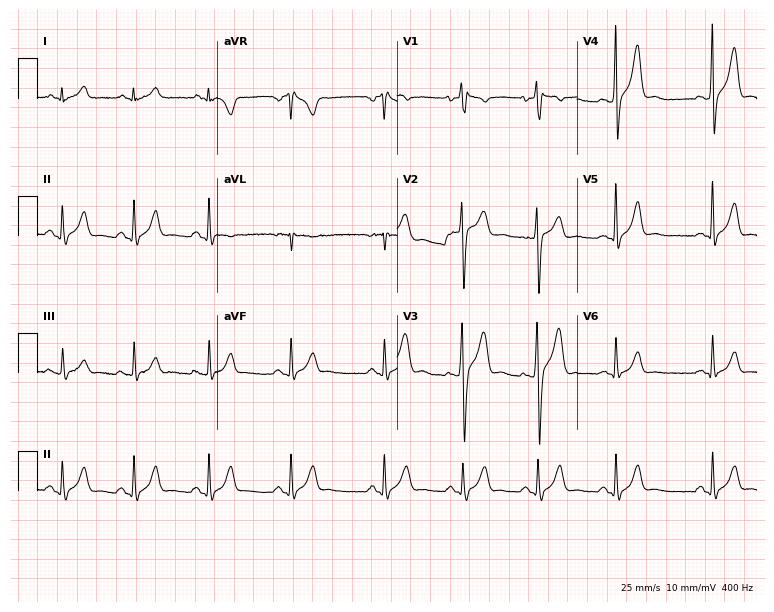
12-lead ECG from a male, 18 years old. Recorded interpretation: within normal limits.